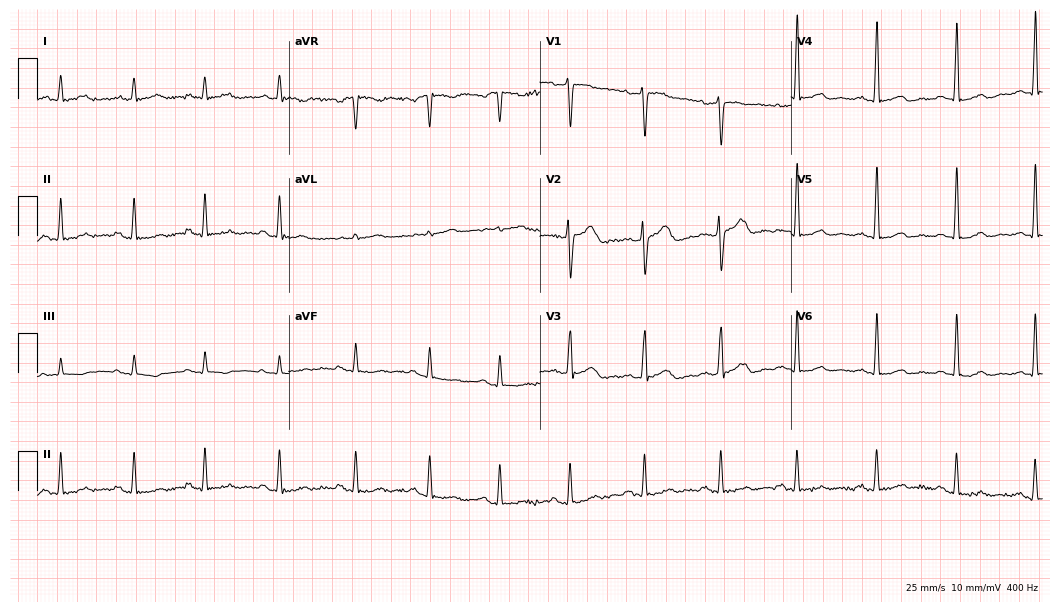
12-lead ECG from a man, 47 years old. No first-degree AV block, right bundle branch block (RBBB), left bundle branch block (LBBB), sinus bradycardia, atrial fibrillation (AF) or sinus tachycardia recorded for this tracing.